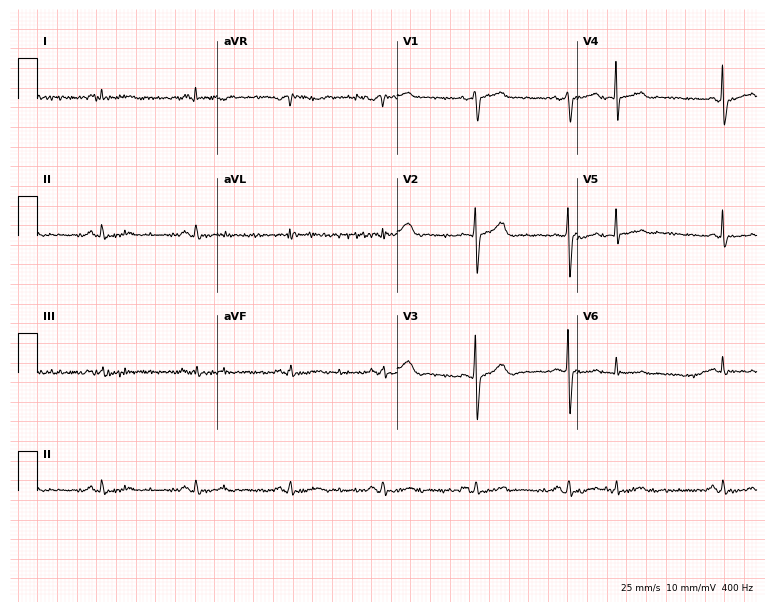
ECG — a 66-year-old male patient. Screened for six findings — first-degree AV block, right bundle branch block (RBBB), left bundle branch block (LBBB), sinus bradycardia, atrial fibrillation (AF), sinus tachycardia — none is recorded. Only these six findings were labelled.